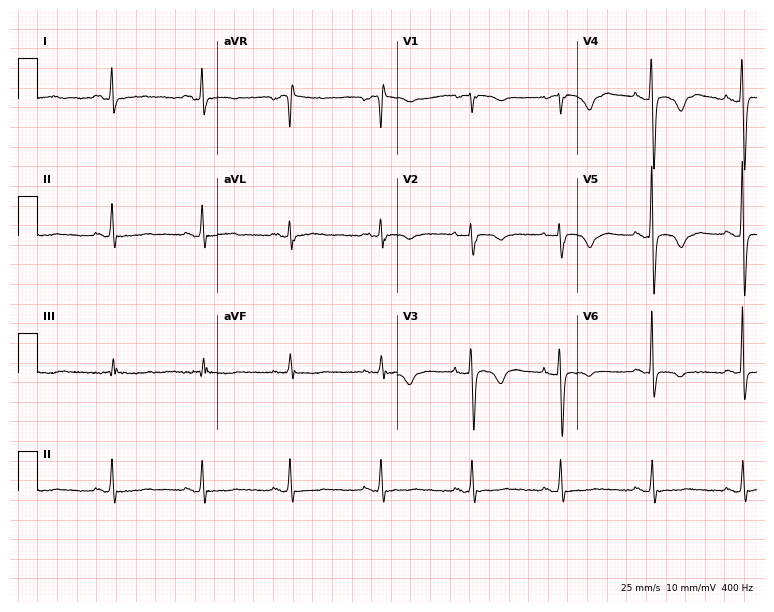
ECG (7.3-second recording at 400 Hz) — a female patient, 64 years old. Screened for six findings — first-degree AV block, right bundle branch block (RBBB), left bundle branch block (LBBB), sinus bradycardia, atrial fibrillation (AF), sinus tachycardia — none is recorded.